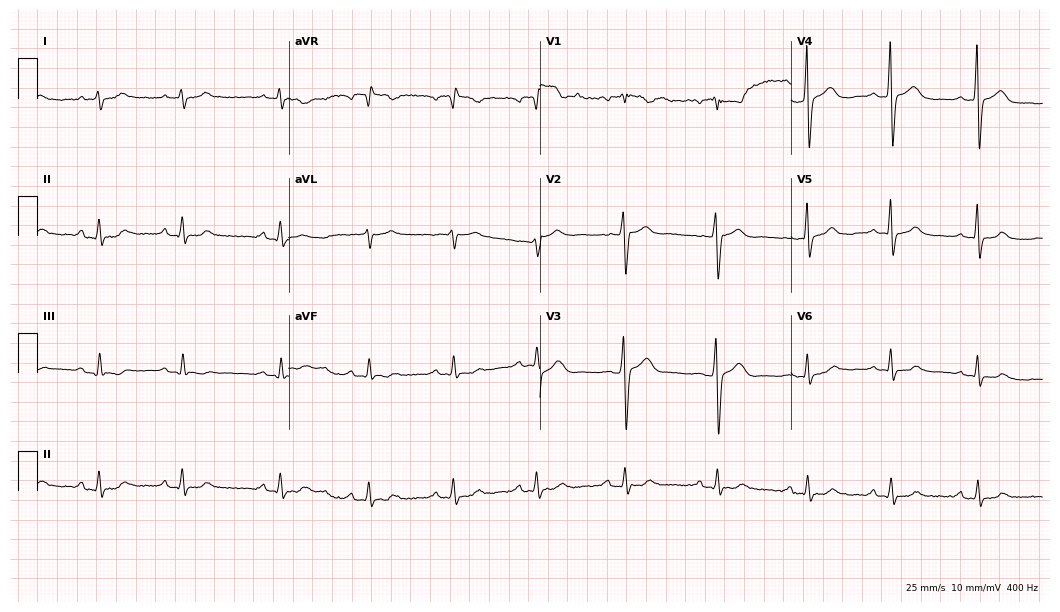
Resting 12-lead electrocardiogram. Patient: a male, 40 years old. None of these six findings is recorded: first-degree AV block, right bundle branch block, left bundle branch block, sinus bradycardia, atrial fibrillation, sinus tachycardia.